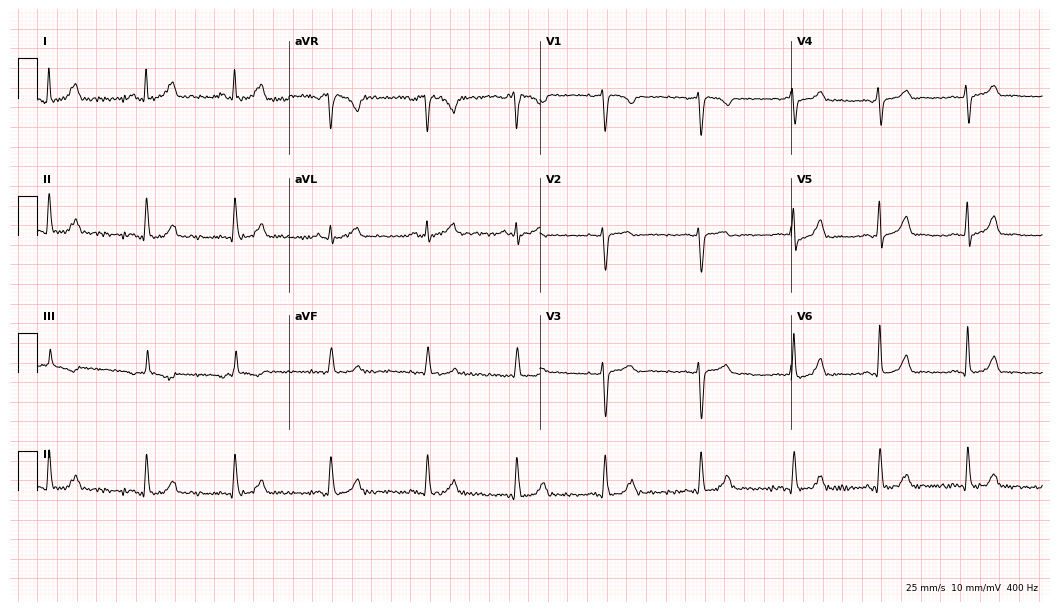
ECG (10.2-second recording at 400 Hz) — a female, 39 years old. Labelled as a normal ECG.